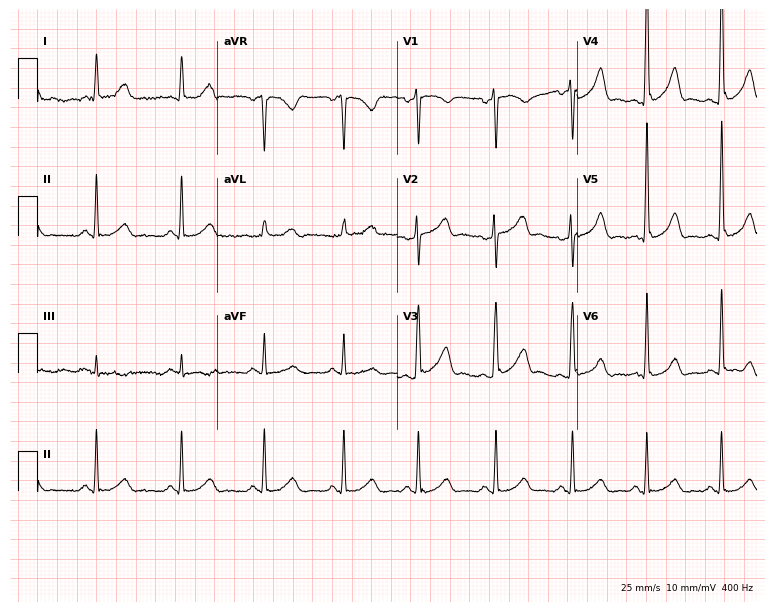
12-lead ECG from a 37-year-old male. No first-degree AV block, right bundle branch block (RBBB), left bundle branch block (LBBB), sinus bradycardia, atrial fibrillation (AF) or sinus tachycardia recorded for this tracing.